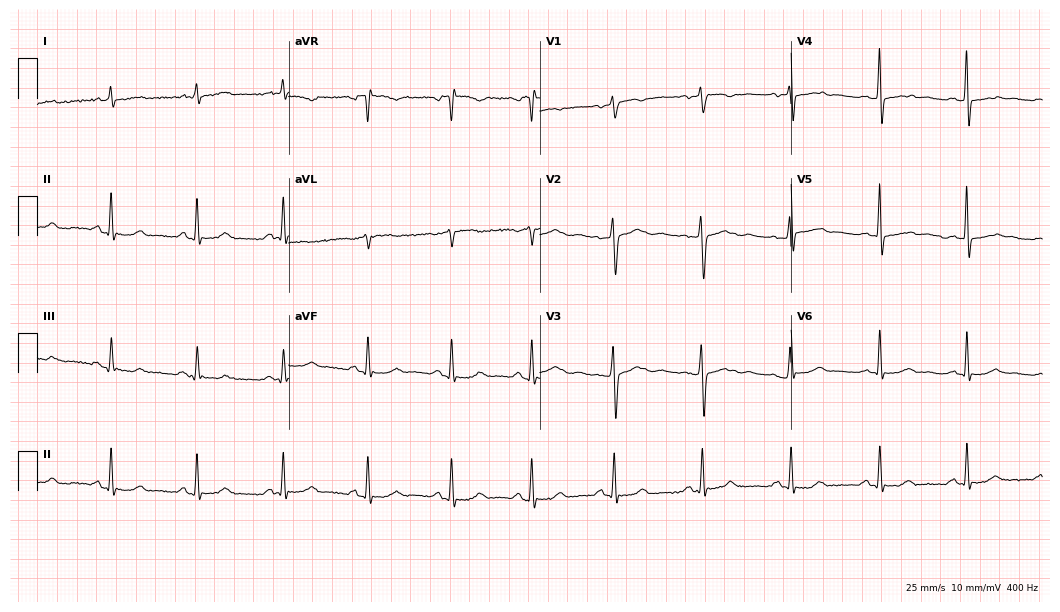
Standard 12-lead ECG recorded from a female, 58 years old. Read as a normal ECG.